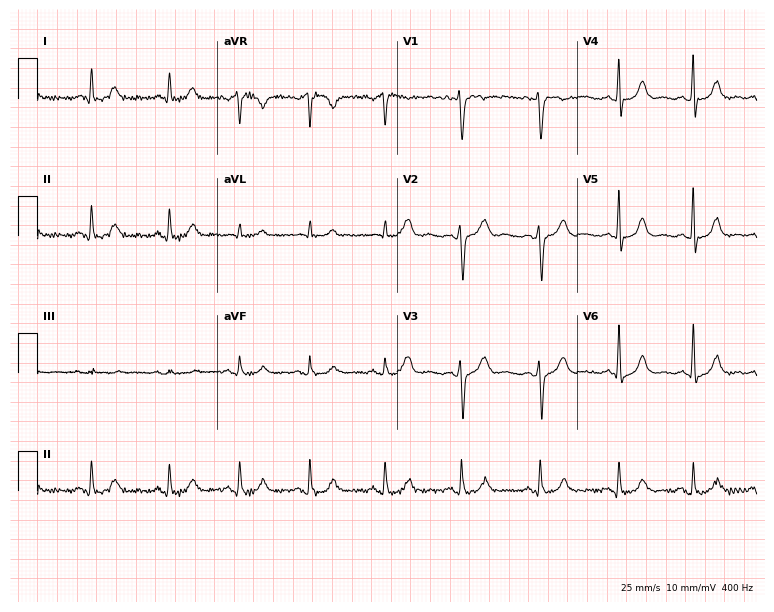
12-lead ECG from a 35-year-old woman. No first-degree AV block, right bundle branch block (RBBB), left bundle branch block (LBBB), sinus bradycardia, atrial fibrillation (AF) or sinus tachycardia recorded for this tracing.